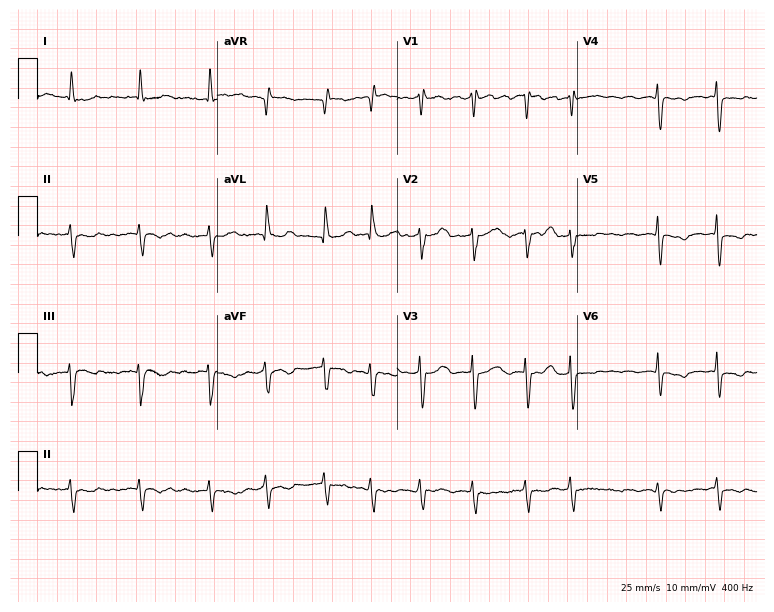
12-lead ECG from a 72-year-old female. Shows atrial fibrillation.